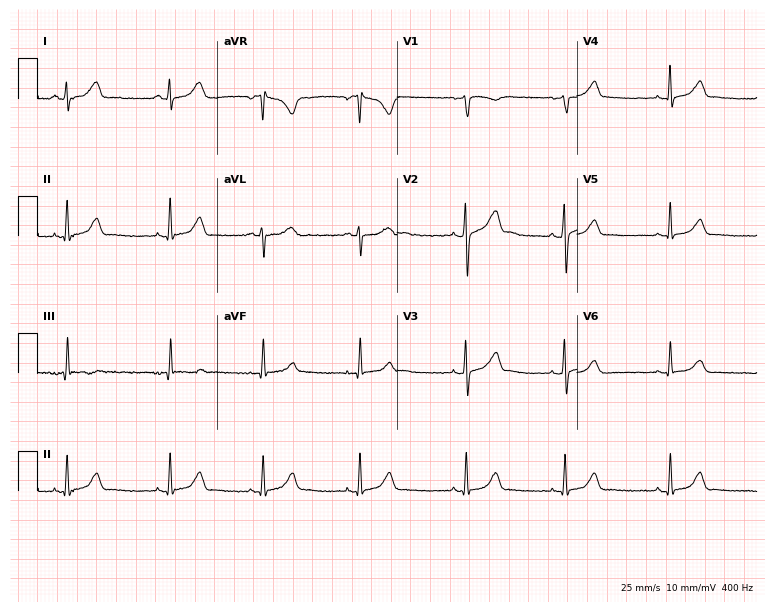
12-lead ECG from an 18-year-old female patient. Labelled as a normal ECG.